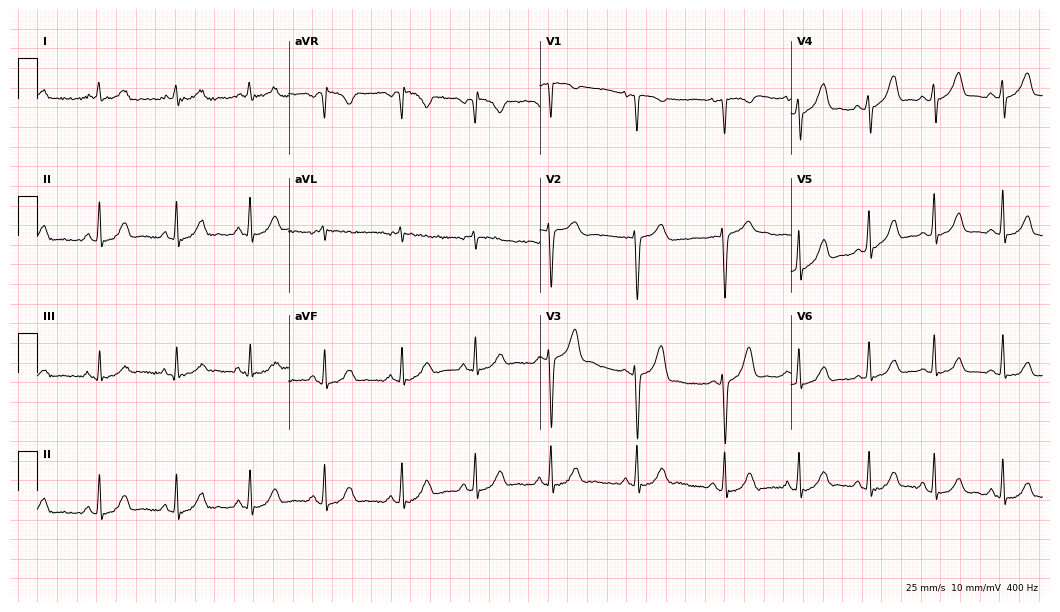
Electrocardiogram, a female patient, 28 years old. Of the six screened findings (first-degree AV block, right bundle branch block, left bundle branch block, sinus bradycardia, atrial fibrillation, sinus tachycardia), none is recorded.